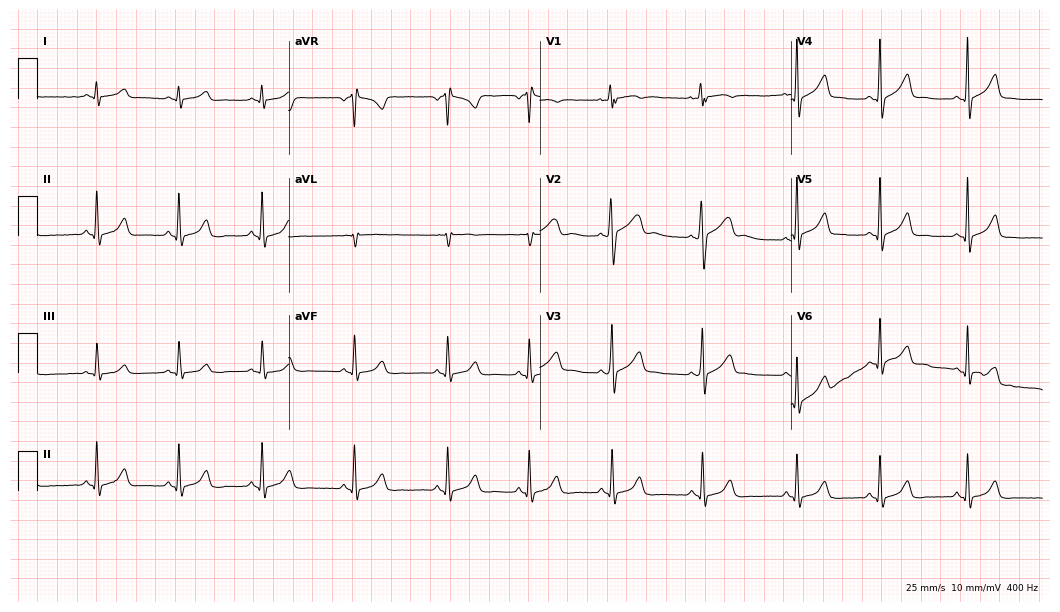
ECG — a 28-year-old female patient. Labelled as a normal ECG.